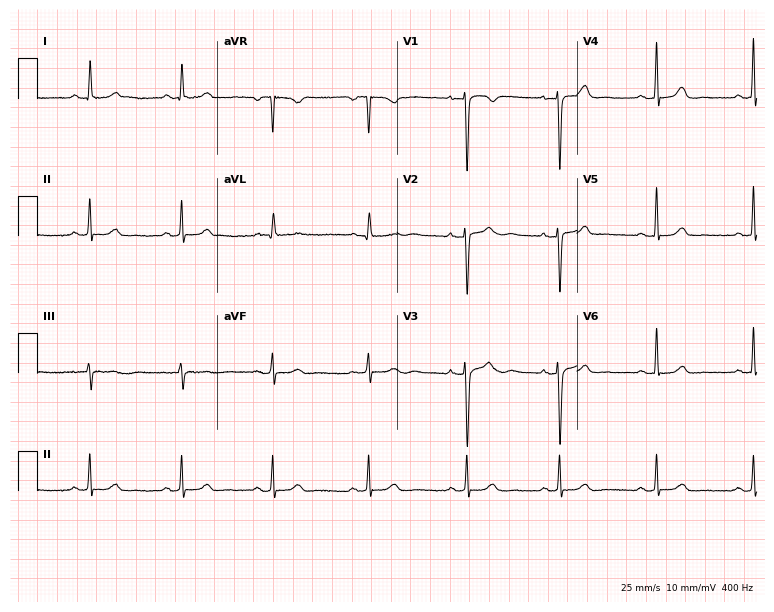
12-lead ECG from a 45-year-old woman (7.3-second recording at 400 Hz). Recorded interpretation: within normal limits.